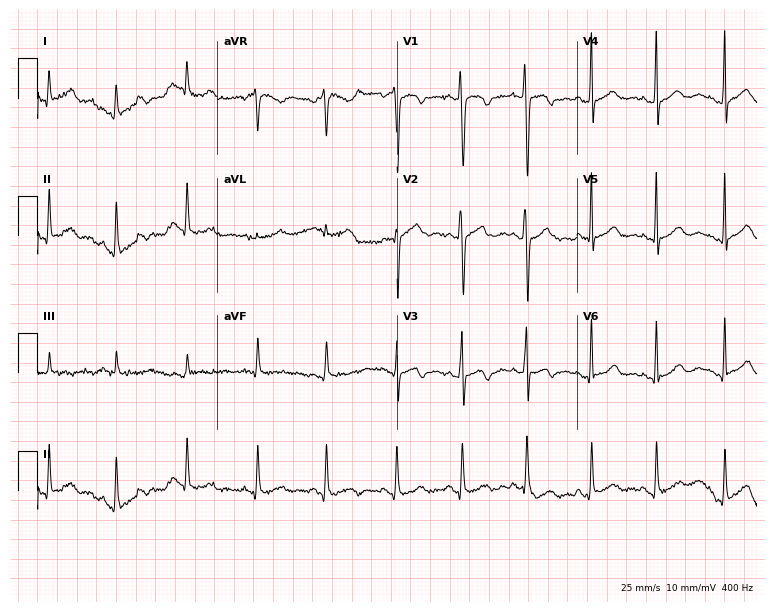
12-lead ECG from a female, 17 years old. No first-degree AV block, right bundle branch block, left bundle branch block, sinus bradycardia, atrial fibrillation or sinus tachycardia recorded for this tracing.